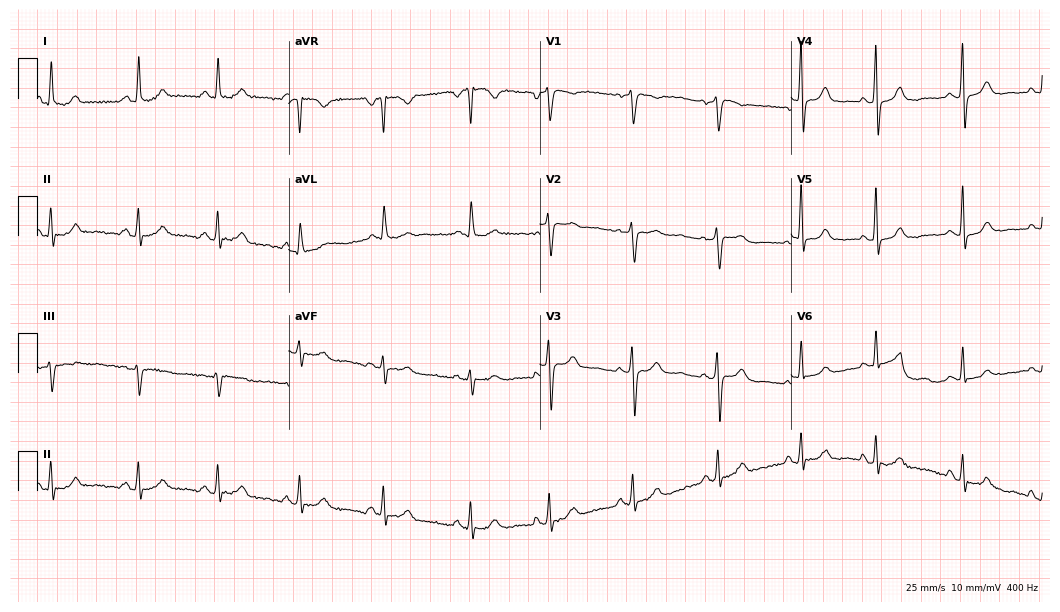
ECG — a female, 59 years old. Labelled as a normal ECG.